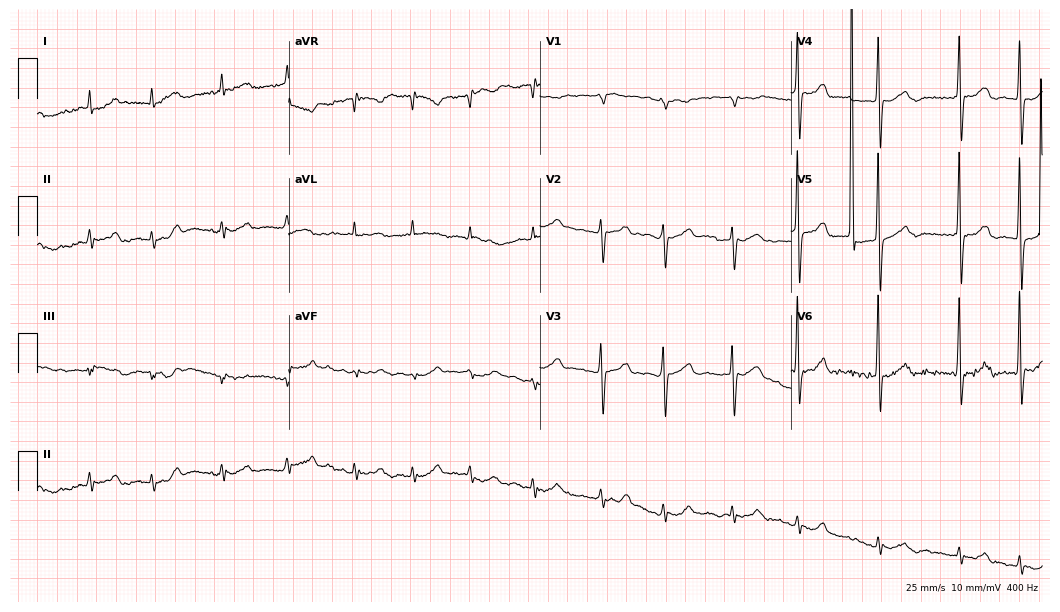
Electrocardiogram, an 83-year-old male patient. Interpretation includes atrial fibrillation.